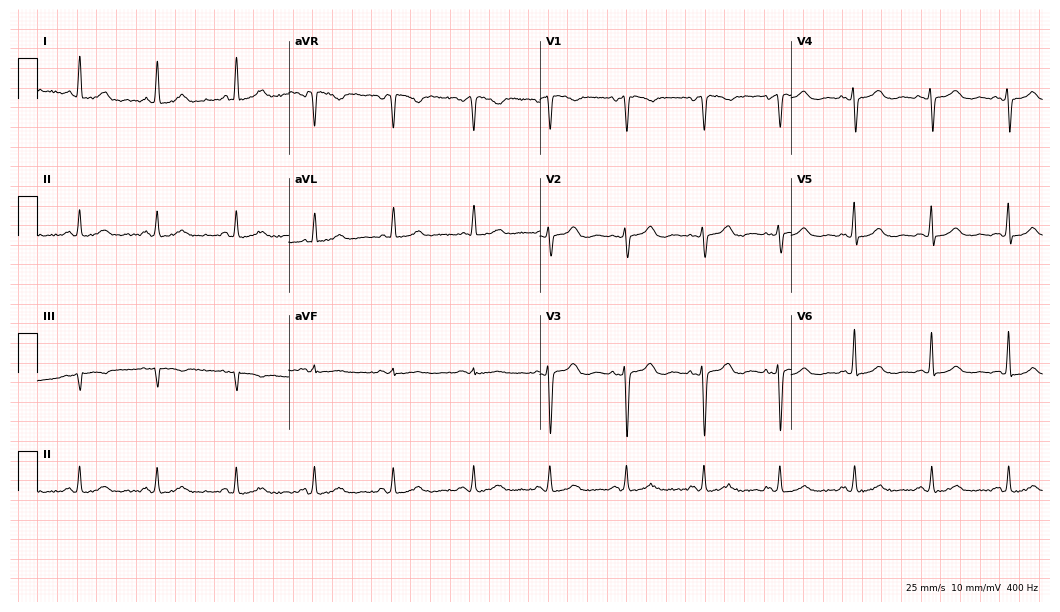
Standard 12-lead ECG recorded from a 48-year-old woman. Read as a normal ECG.